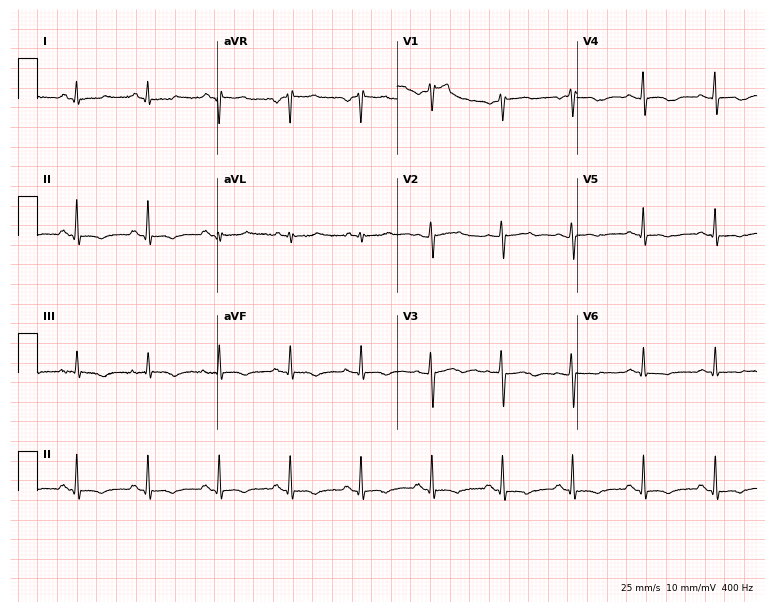
Resting 12-lead electrocardiogram. Patient: a female, 52 years old. None of these six findings is recorded: first-degree AV block, right bundle branch block, left bundle branch block, sinus bradycardia, atrial fibrillation, sinus tachycardia.